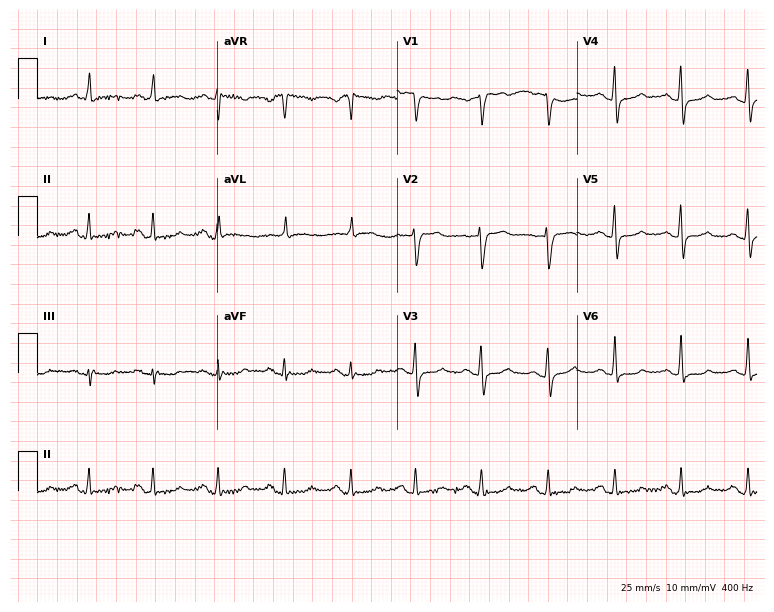
ECG — a 52-year-old female patient. Screened for six findings — first-degree AV block, right bundle branch block (RBBB), left bundle branch block (LBBB), sinus bradycardia, atrial fibrillation (AF), sinus tachycardia — none is recorded. Only these six findings were labelled.